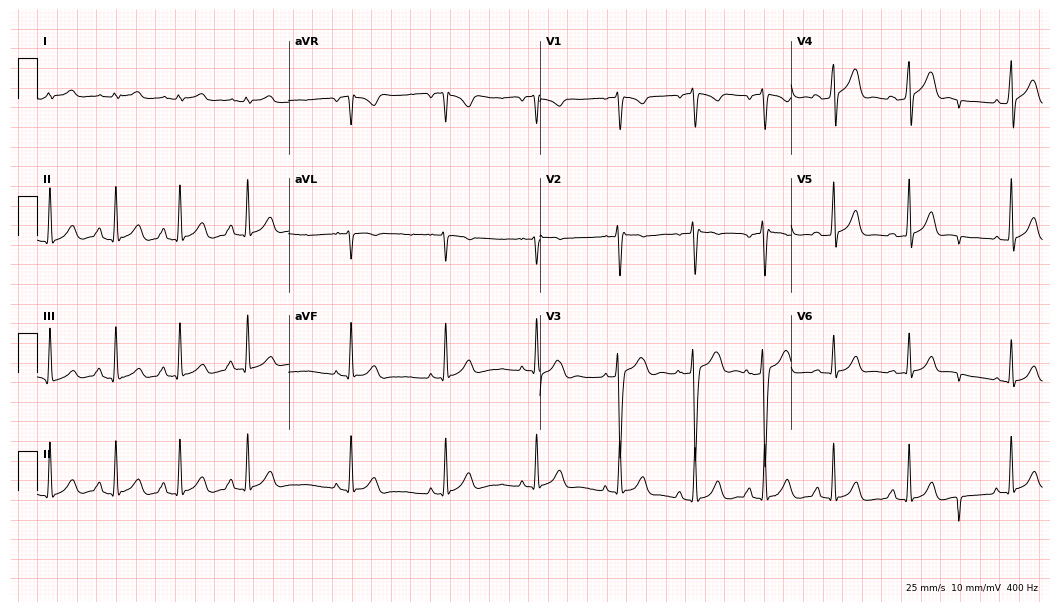
12-lead ECG from a 17-year-old male. Recorded interpretation: within normal limits.